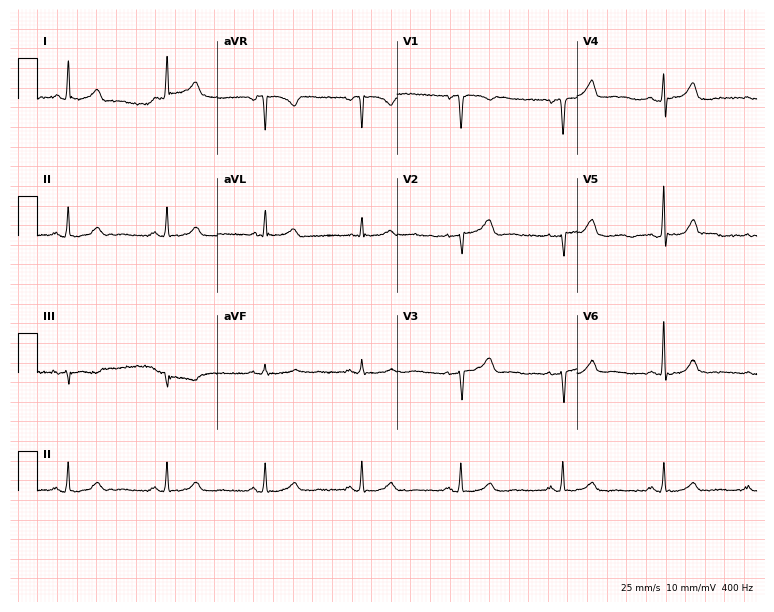
12-lead ECG from a female, 64 years old (7.3-second recording at 400 Hz). No first-degree AV block, right bundle branch block (RBBB), left bundle branch block (LBBB), sinus bradycardia, atrial fibrillation (AF) or sinus tachycardia recorded for this tracing.